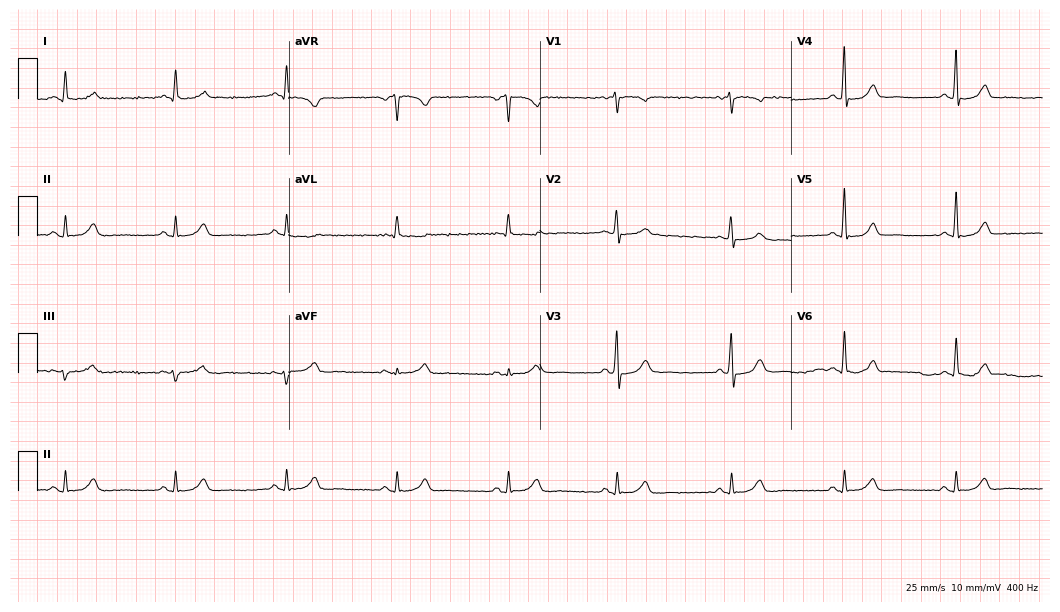
Electrocardiogram, a female patient, 66 years old. Overall reading on record: normal ECG.